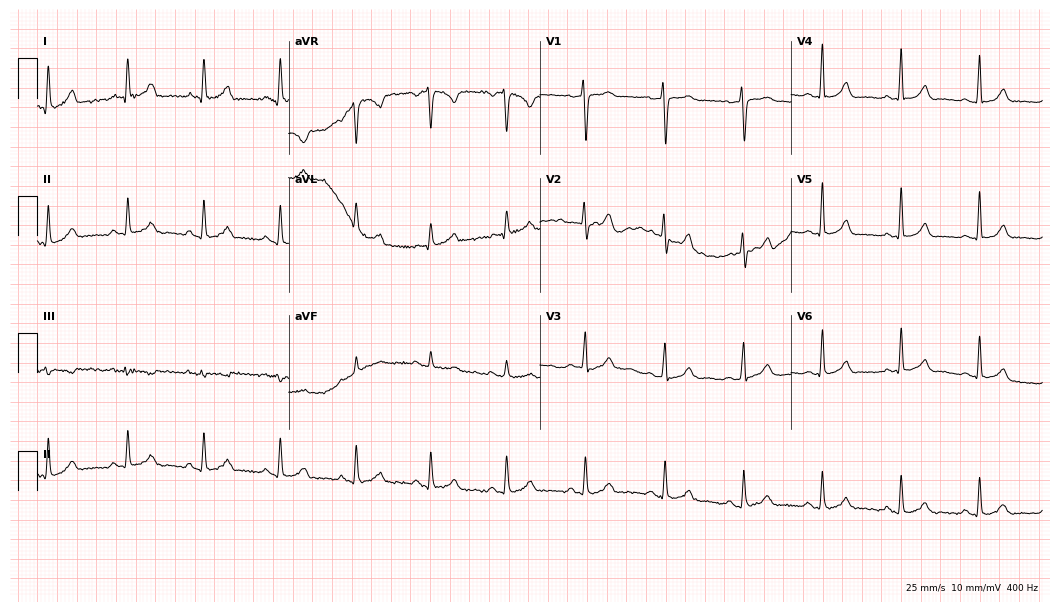
12-lead ECG from a female patient, 37 years old (10.2-second recording at 400 Hz). Recorded interpretation: within normal limits.